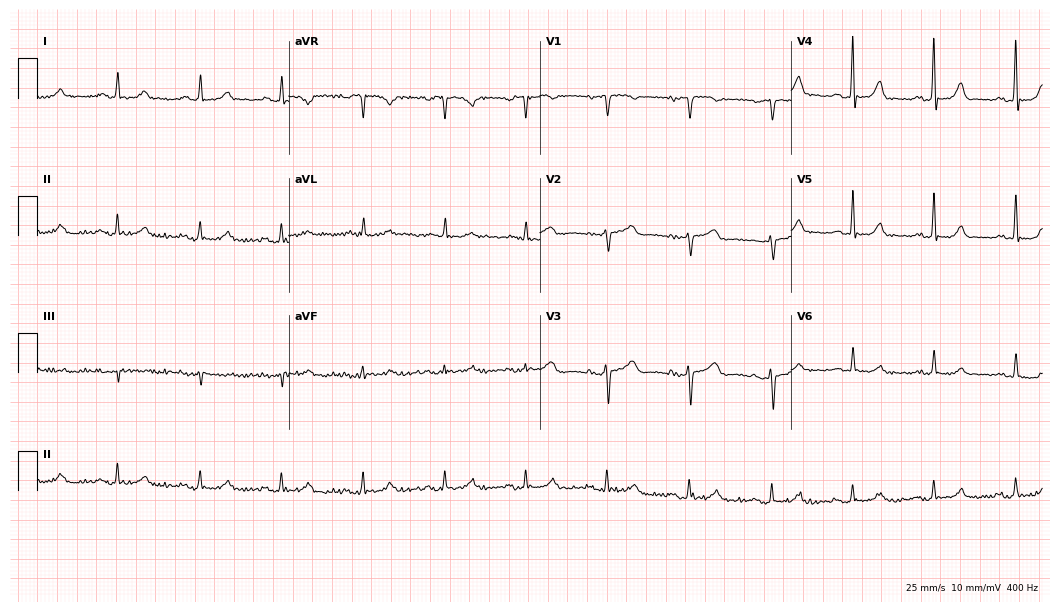
ECG — a 66-year-old female patient. Labelled as a normal ECG.